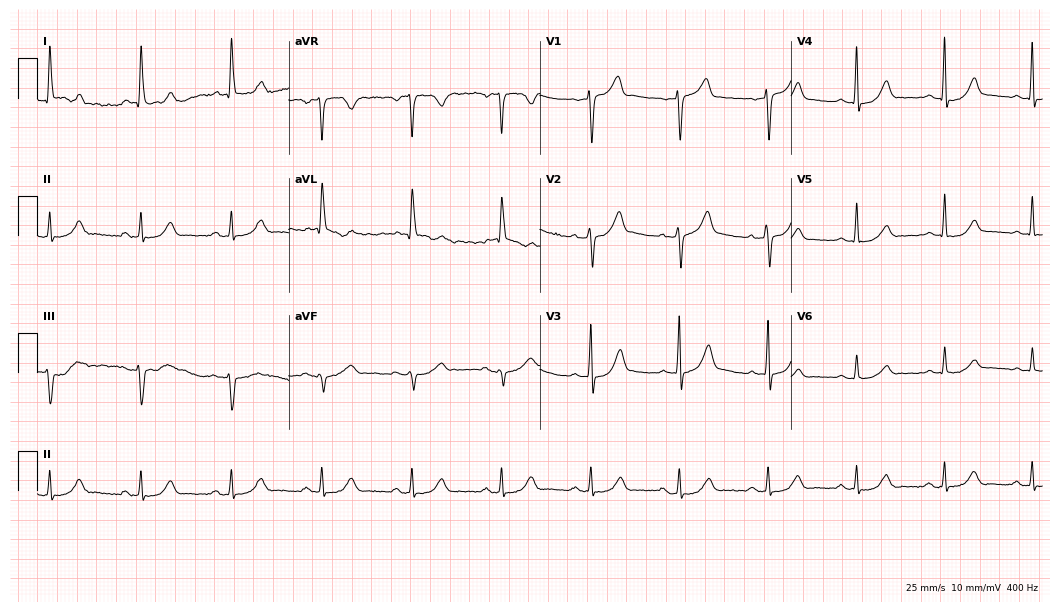
12-lead ECG from a male, 67 years old. Labelled as a normal ECG.